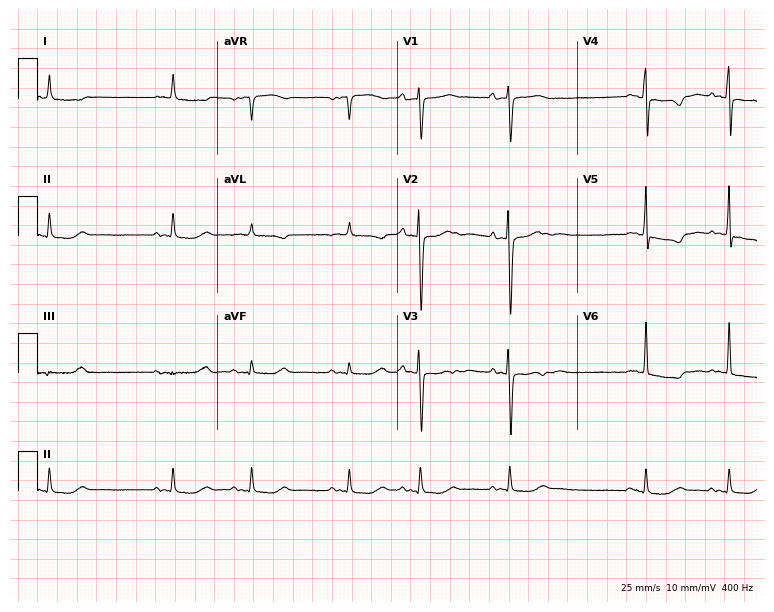
12-lead ECG from an 83-year-old female. Screened for six findings — first-degree AV block, right bundle branch block, left bundle branch block, sinus bradycardia, atrial fibrillation, sinus tachycardia — none is recorded.